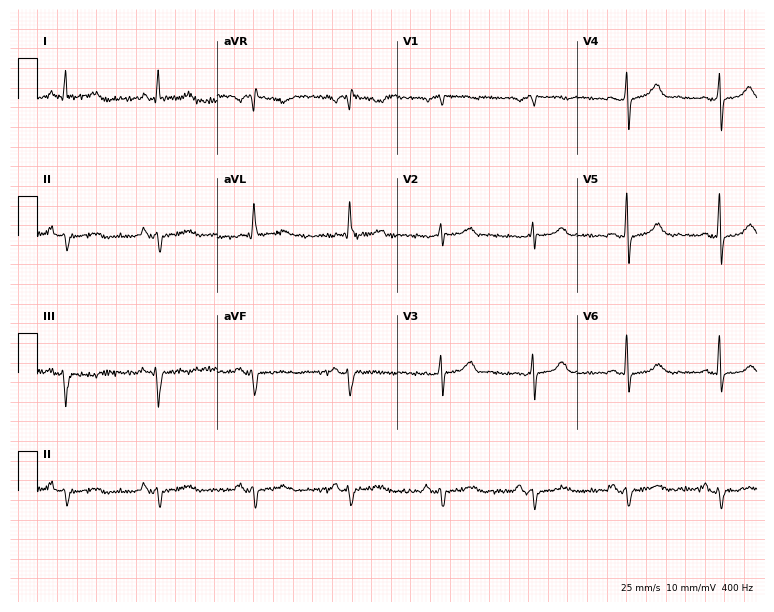
ECG — an 80-year-old female. Screened for six findings — first-degree AV block, right bundle branch block, left bundle branch block, sinus bradycardia, atrial fibrillation, sinus tachycardia — none is recorded.